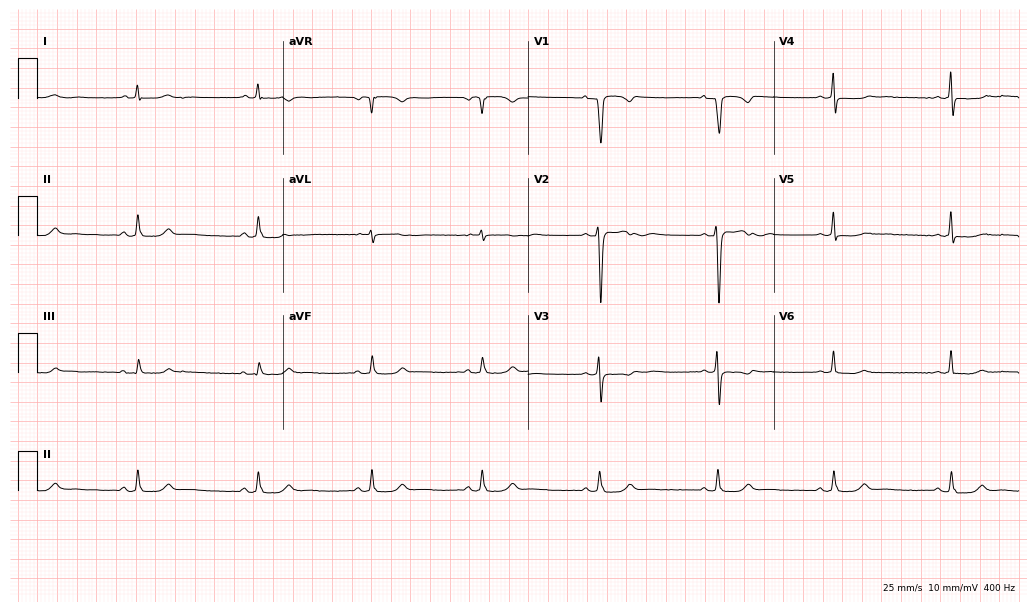
Standard 12-lead ECG recorded from a 51-year-old female patient. None of these six findings is recorded: first-degree AV block, right bundle branch block (RBBB), left bundle branch block (LBBB), sinus bradycardia, atrial fibrillation (AF), sinus tachycardia. Only these six findings were labelled.